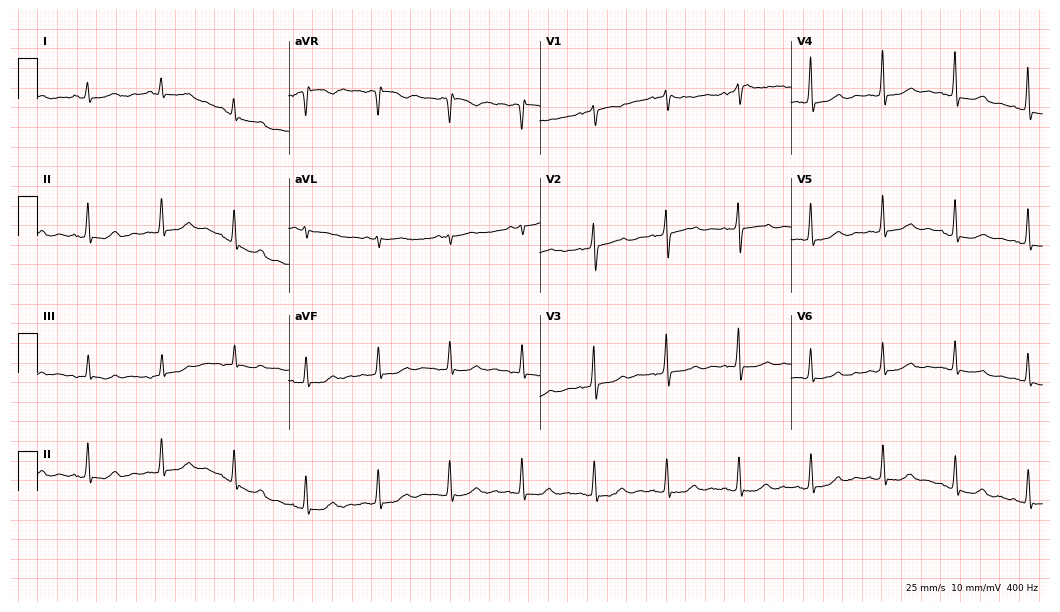
Resting 12-lead electrocardiogram. Patient: a 71-year-old woman. Read as a normal ECG.